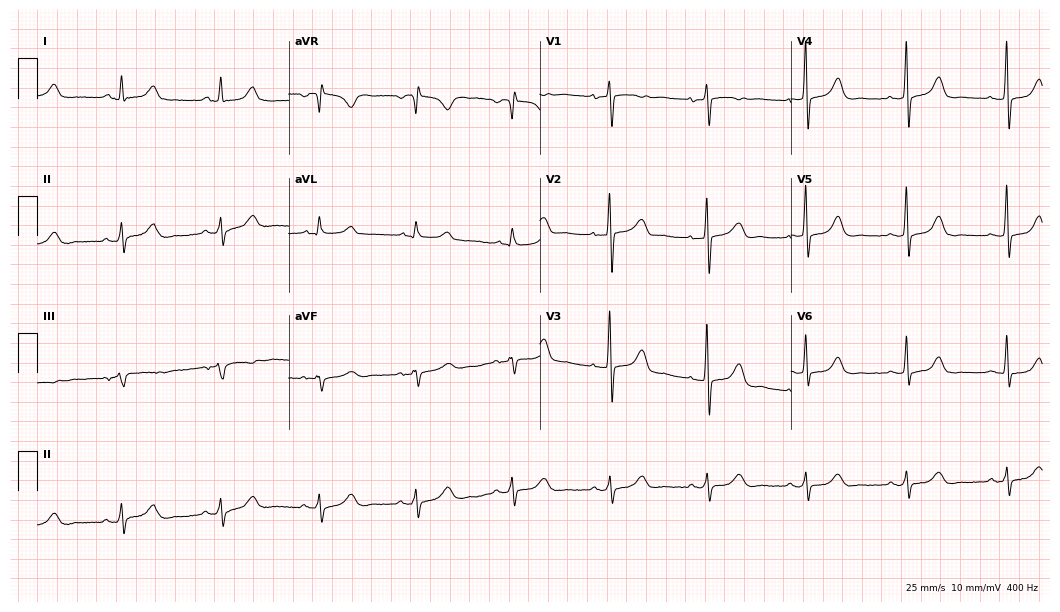
12-lead ECG from a 63-year-old woman (10.2-second recording at 400 Hz). No first-degree AV block, right bundle branch block, left bundle branch block, sinus bradycardia, atrial fibrillation or sinus tachycardia recorded for this tracing. Only these six findings were labelled.